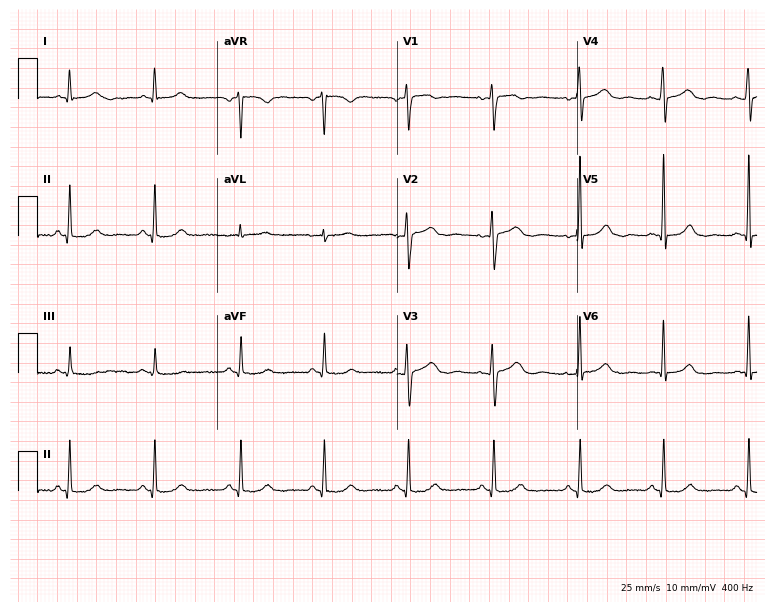
12-lead ECG (7.3-second recording at 400 Hz) from a 48-year-old female. Labelled as a normal ECG.